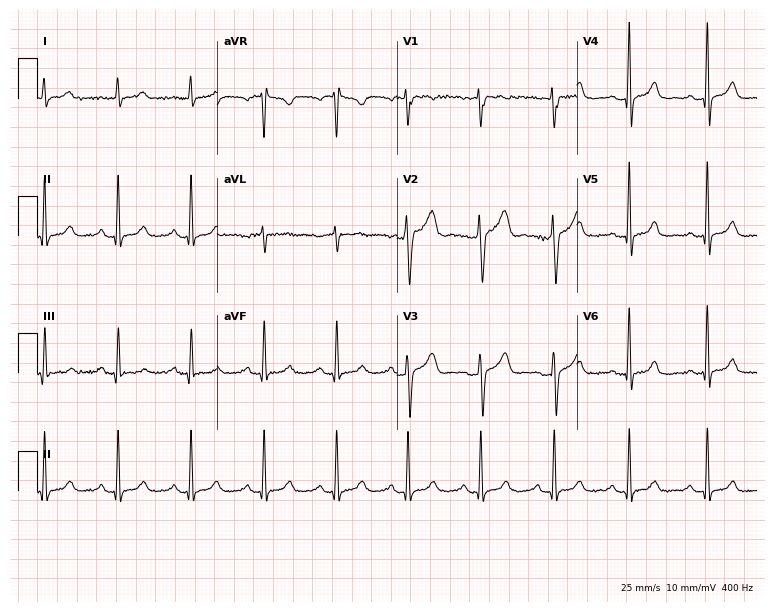
Standard 12-lead ECG recorded from a female patient, 43 years old. Read as a normal ECG.